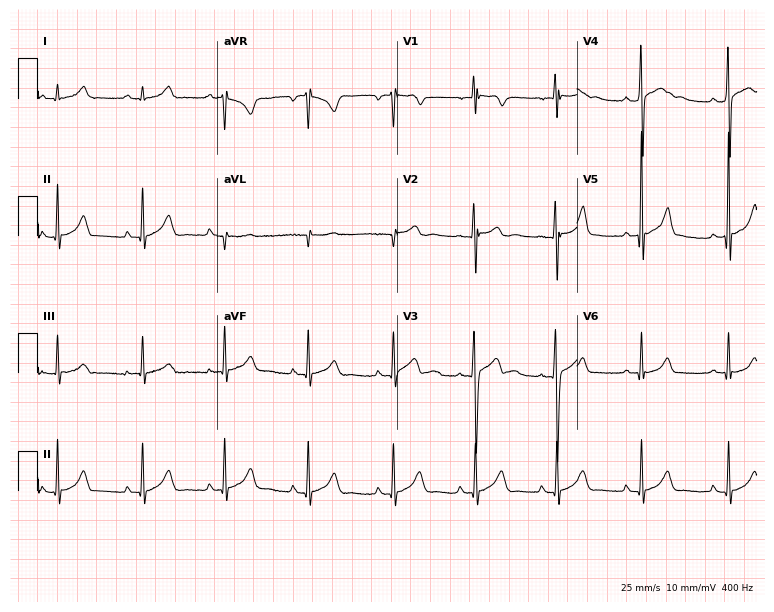
ECG — a male, 18 years old. Labelled as a normal ECG.